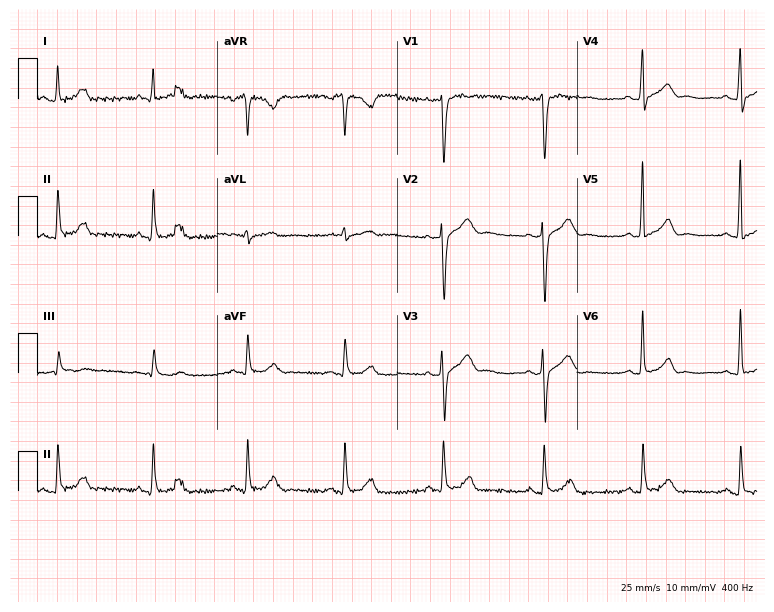
Electrocardiogram, a 44-year-old man. Of the six screened findings (first-degree AV block, right bundle branch block, left bundle branch block, sinus bradycardia, atrial fibrillation, sinus tachycardia), none is recorded.